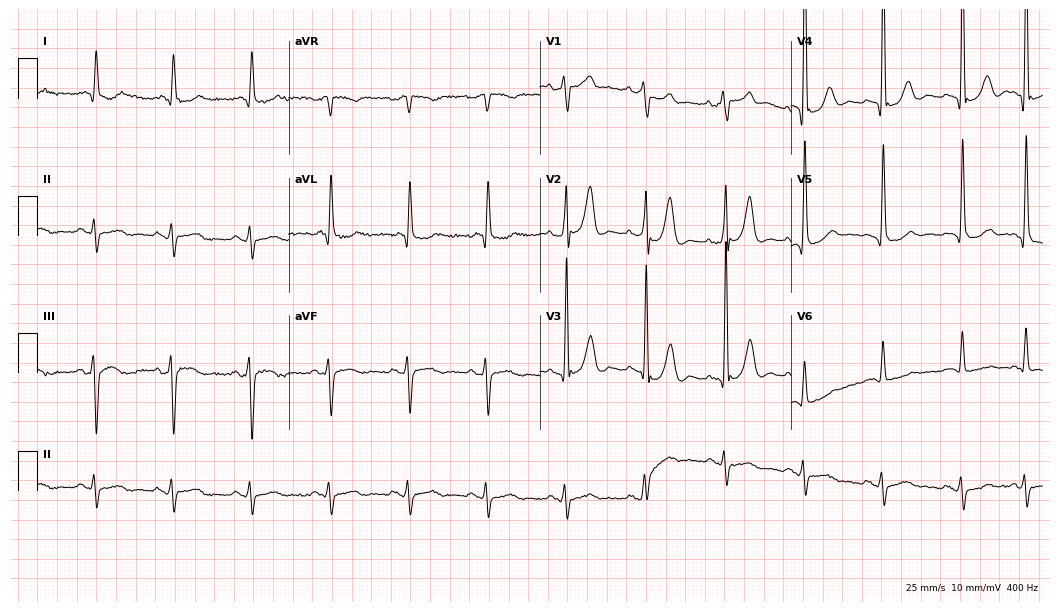
12-lead ECG from an 84-year-old male patient. Screened for six findings — first-degree AV block, right bundle branch block, left bundle branch block, sinus bradycardia, atrial fibrillation, sinus tachycardia — none is recorded.